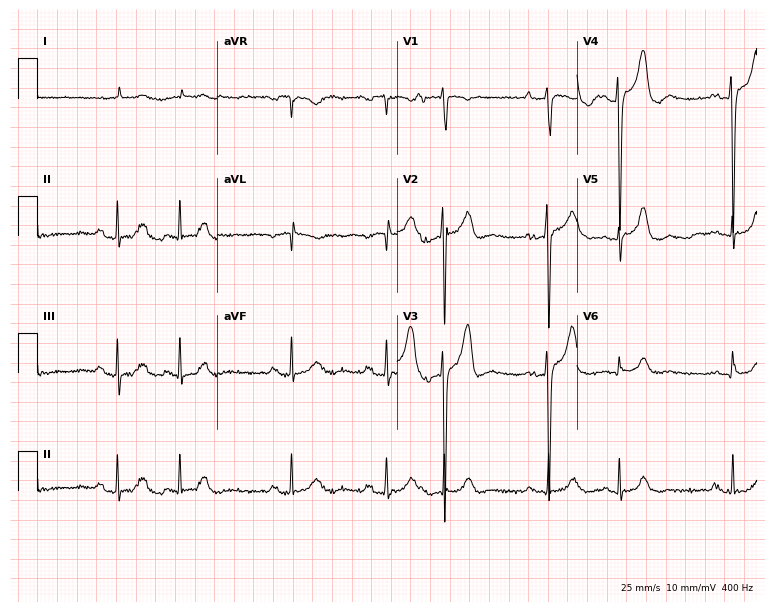
ECG (7.3-second recording at 400 Hz) — a male, 84 years old. Screened for six findings — first-degree AV block, right bundle branch block, left bundle branch block, sinus bradycardia, atrial fibrillation, sinus tachycardia — none is recorded.